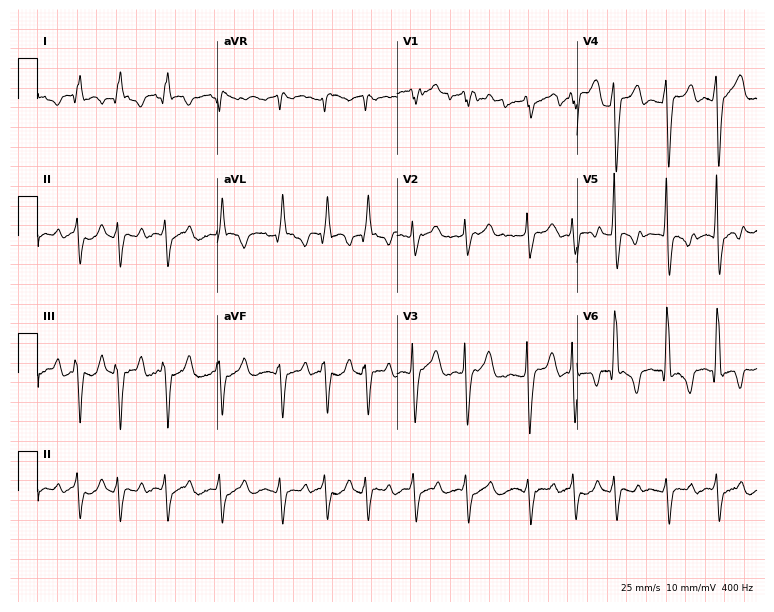
Standard 12-lead ECG recorded from a man, 38 years old (7.3-second recording at 400 Hz). None of these six findings is recorded: first-degree AV block, right bundle branch block, left bundle branch block, sinus bradycardia, atrial fibrillation, sinus tachycardia. Only these six findings were labelled.